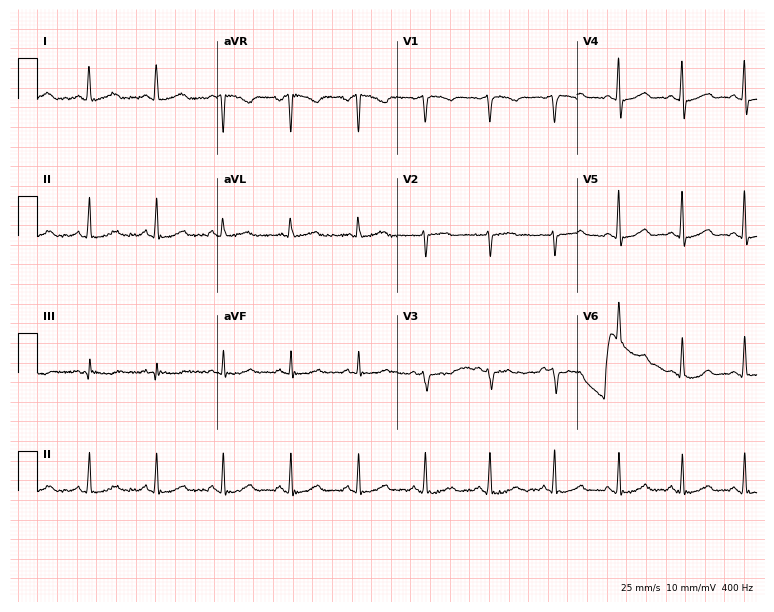
Resting 12-lead electrocardiogram. Patient: a female, 55 years old. None of these six findings is recorded: first-degree AV block, right bundle branch block, left bundle branch block, sinus bradycardia, atrial fibrillation, sinus tachycardia.